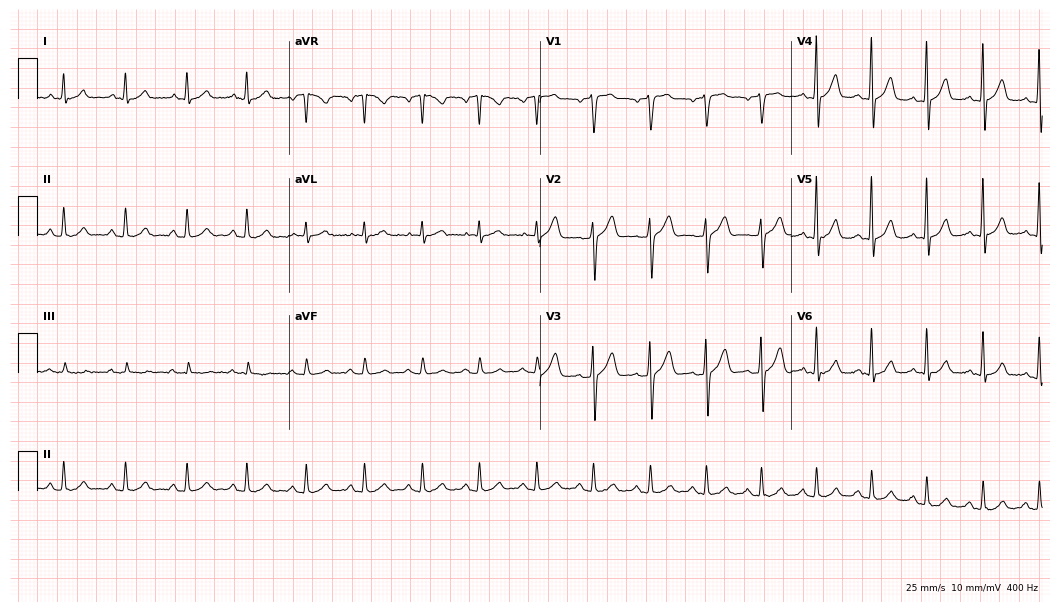
ECG — a 56-year-old male patient. Findings include sinus tachycardia (a sinus rate of 100 beats per minute or more).